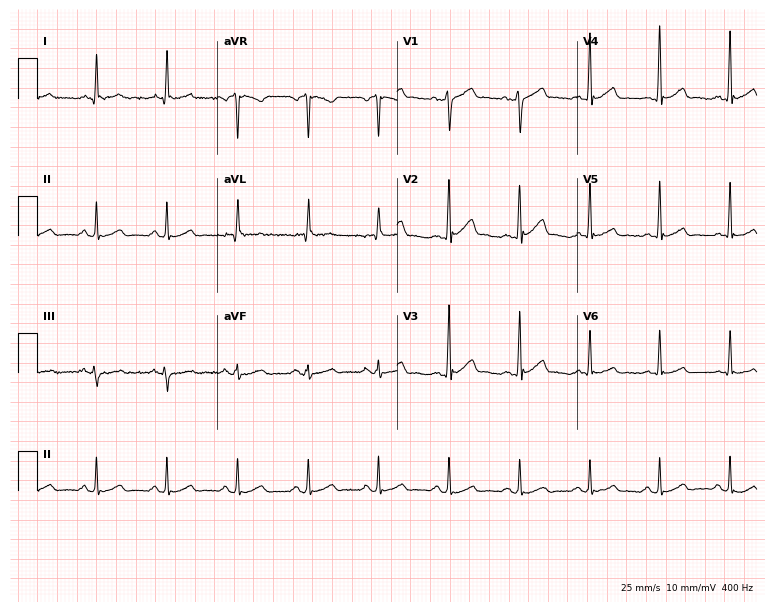
Resting 12-lead electrocardiogram. Patient: a 46-year-old male. Read as a normal ECG.